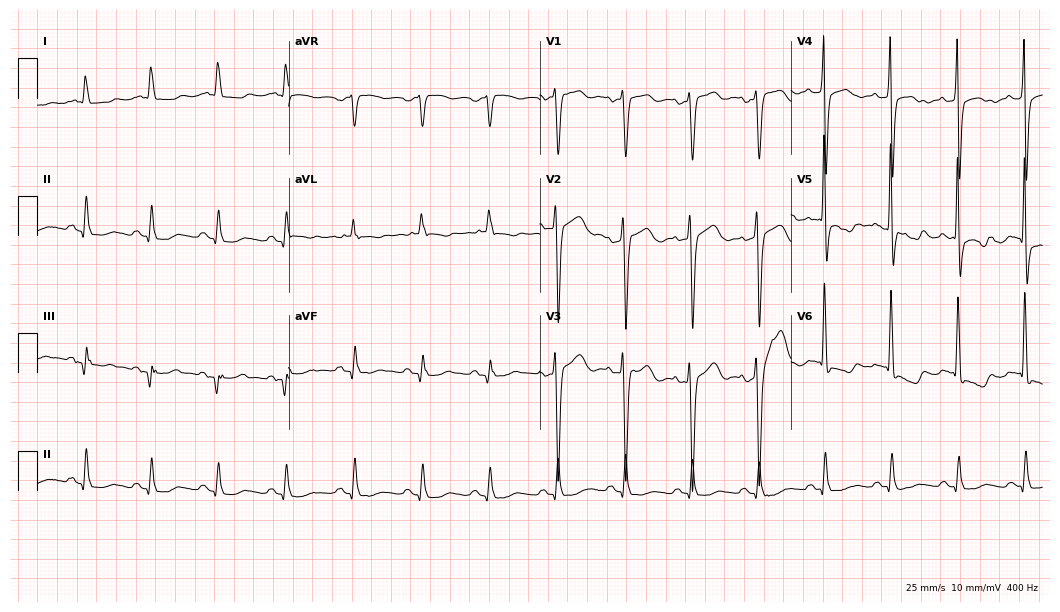
12-lead ECG (10.2-second recording at 400 Hz) from a male patient, 77 years old. Screened for six findings — first-degree AV block, right bundle branch block (RBBB), left bundle branch block (LBBB), sinus bradycardia, atrial fibrillation (AF), sinus tachycardia — none is recorded. Findings outside these six are not listed.